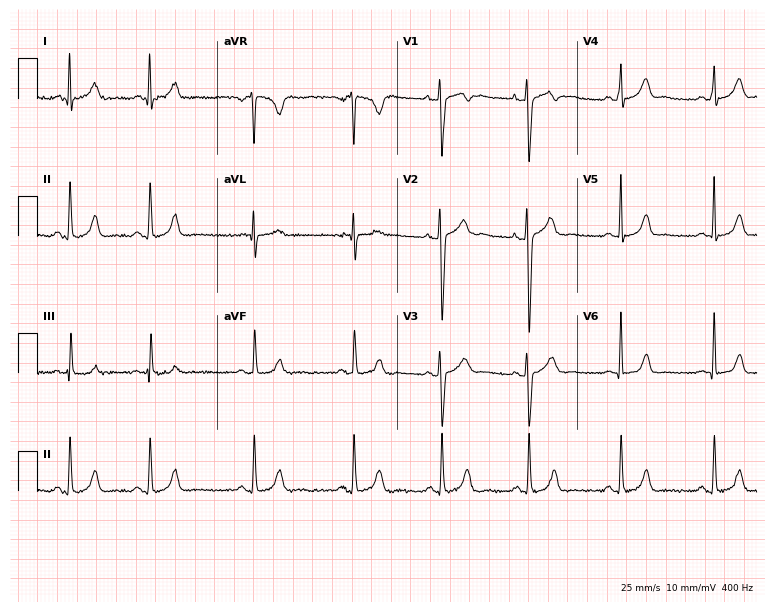
ECG (7.3-second recording at 400 Hz) — a 19-year-old female patient. Labelled as a normal ECG.